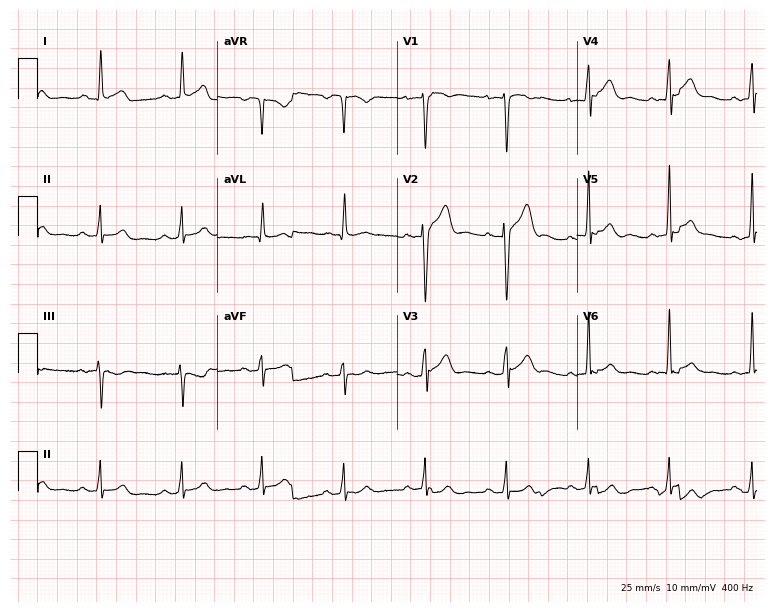
12-lead ECG from a male patient, 41 years old. Screened for six findings — first-degree AV block, right bundle branch block (RBBB), left bundle branch block (LBBB), sinus bradycardia, atrial fibrillation (AF), sinus tachycardia — none is recorded. Only these six findings were labelled.